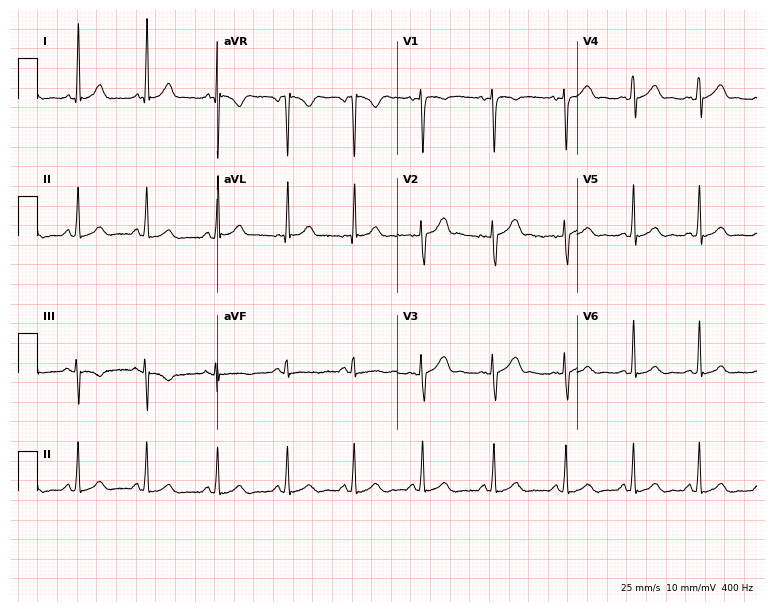
12-lead ECG from a 29-year-old woman. Recorded interpretation: within normal limits.